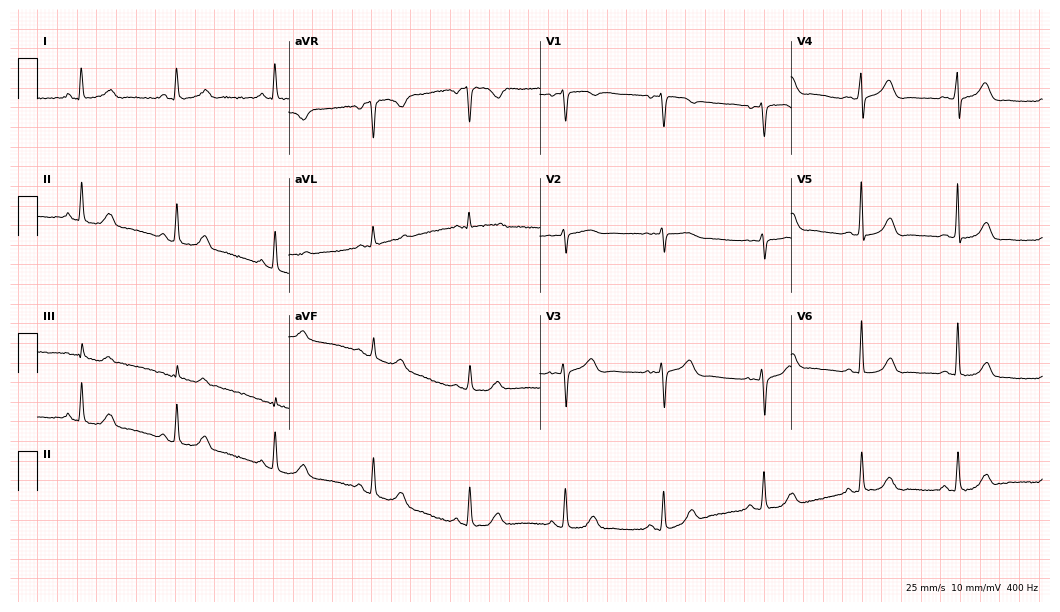
Resting 12-lead electrocardiogram (10.2-second recording at 400 Hz). Patient: a 61-year-old woman. Read as a normal ECG.